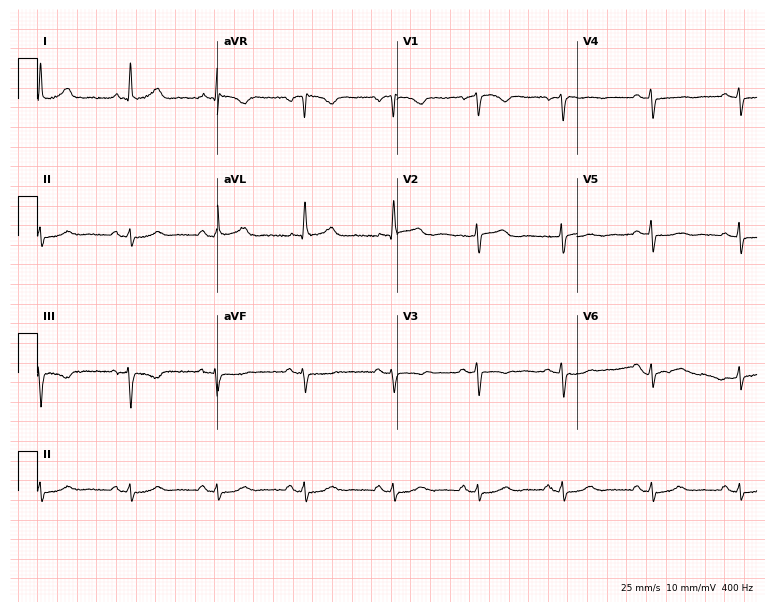
Standard 12-lead ECG recorded from an 81-year-old woman. None of these six findings is recorded: first-degree AV block, right bundle branch block (RBBB), left bundle branch block (LBBB), sinus bradycardia, atrial fibrillation (AF), sinus tachycardia.